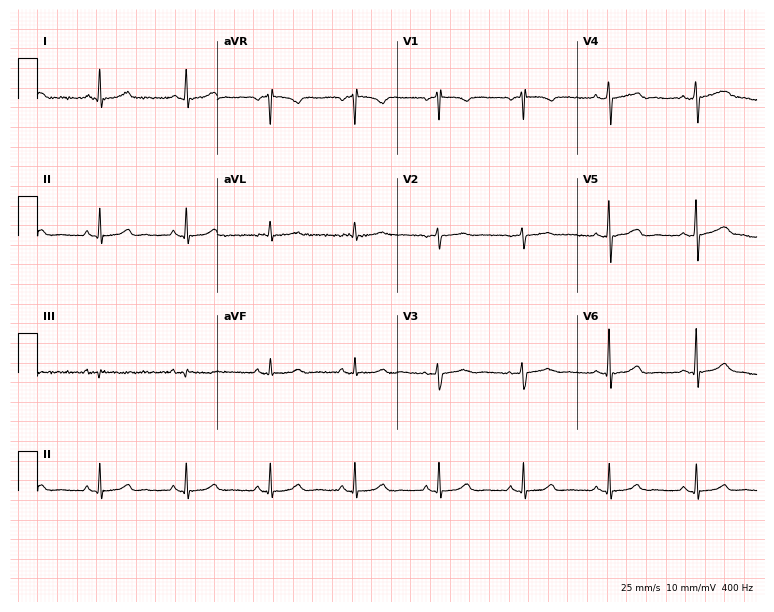
12-lead ECG from a woman, 66 years old (7.3-second recording at 400 Hz). Recorded interpretation: within normal limits.